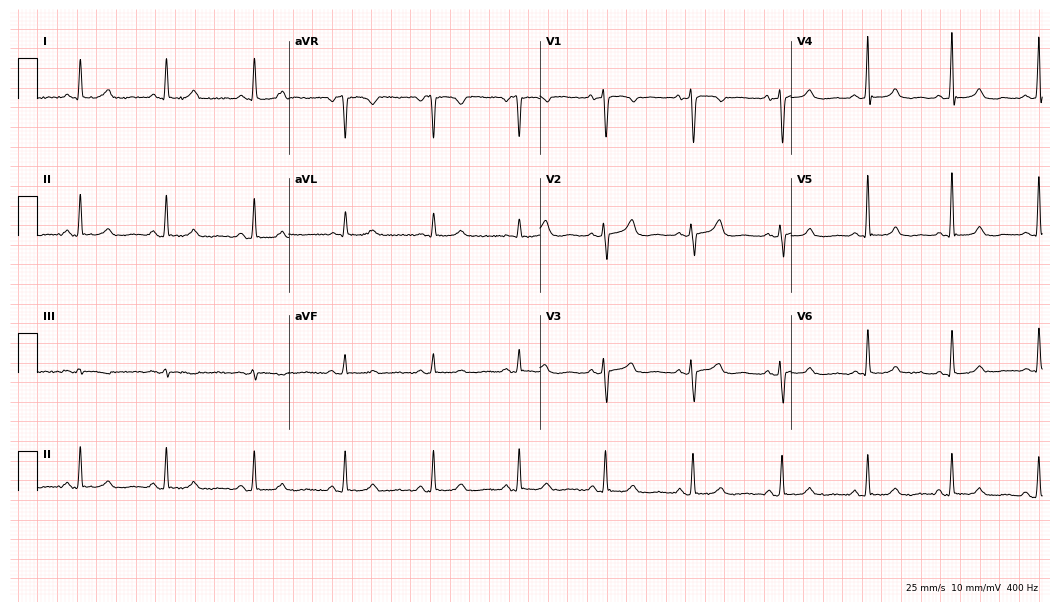
Electrocardiogram, a female, 63 years old. Overall reading on record: normal ECG.